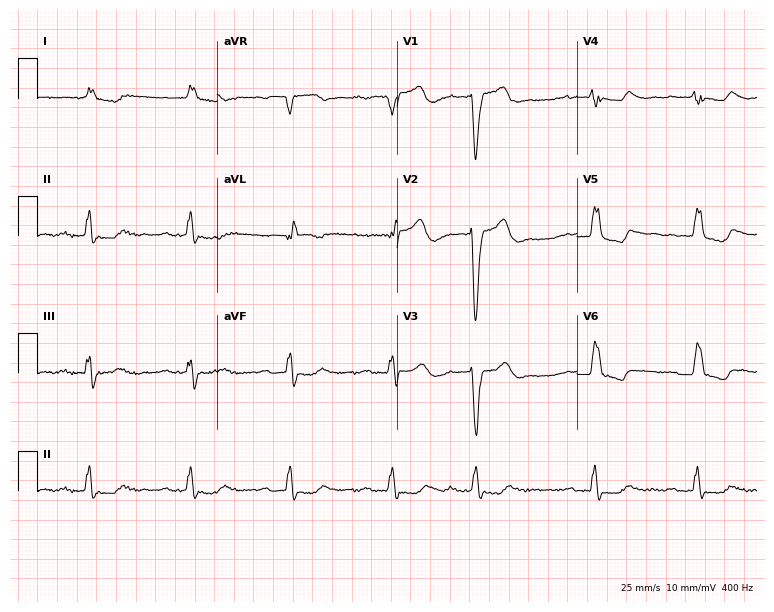
12-lead ECG (7.3-second recording at 400 Hz) from a 67-year-old female. Screened for six findings — first-degree AV block, right bundle branch block (RBBB), left bundle branch block (LBBB), sinus bradycardia, atrial fibrillation (AF), sinus tachycardia — none is recorded. Other findings, if any, are not listed.